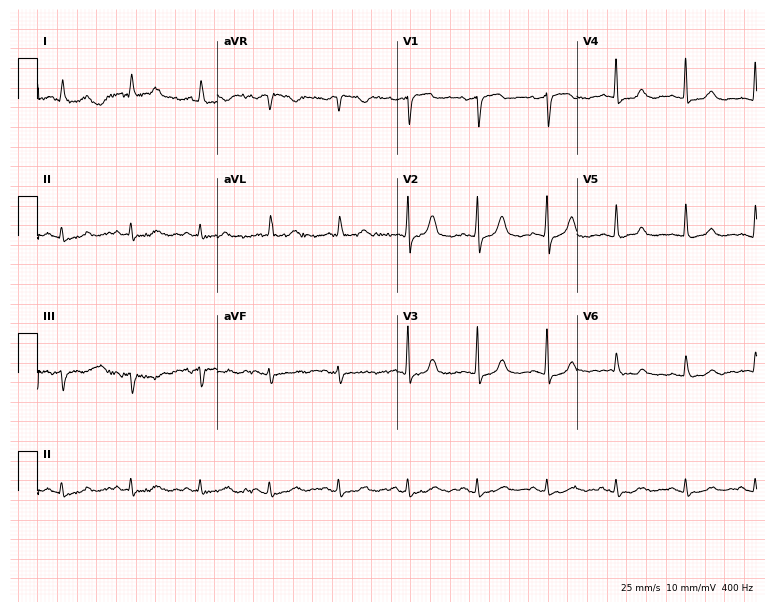
Electrocardiogram, a female, 77 years old. Overall reading on record: normal ECG.